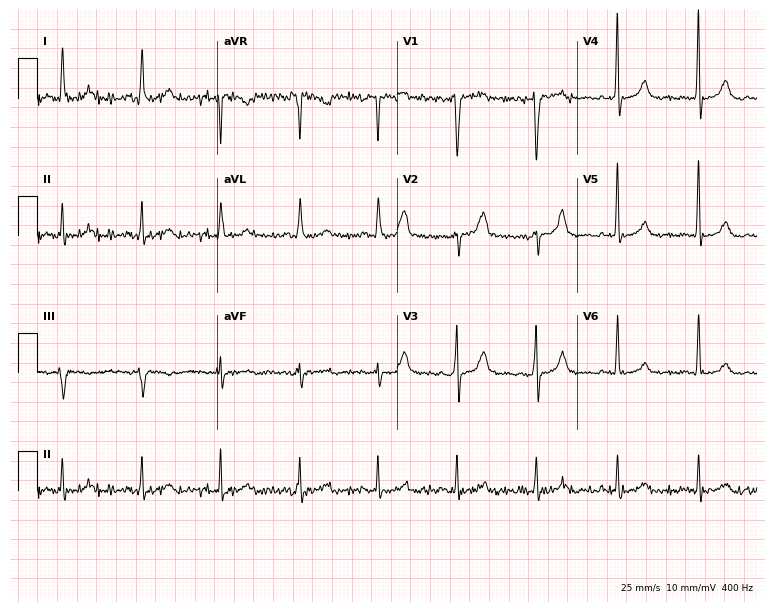
ECG (7.3-second recording at 400 Hz) — a 52-year-old female patient. Labelled as a normal ECG.